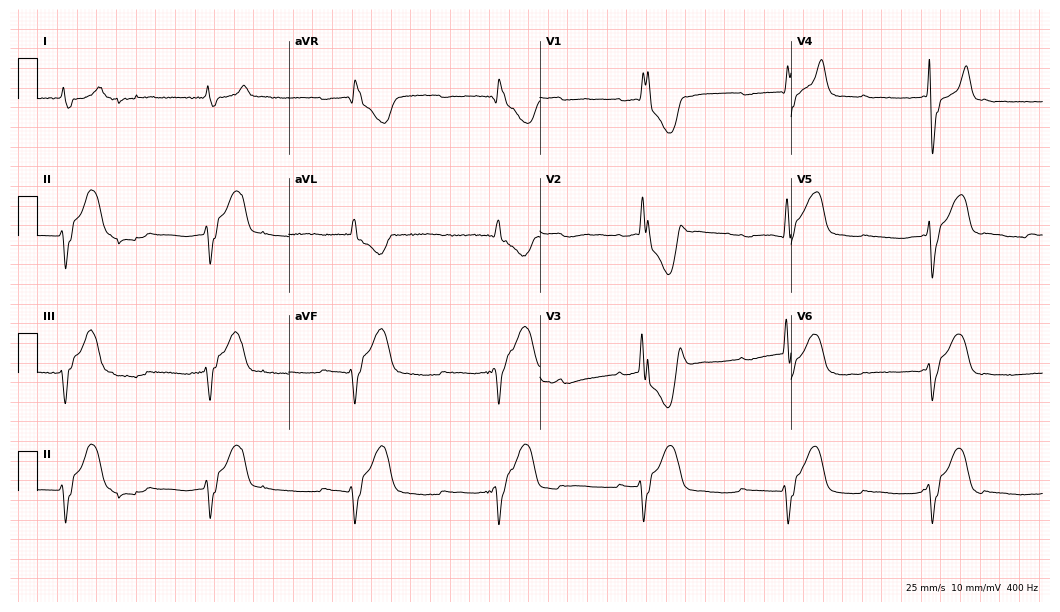
Electrocardiogram, a male, 60 years old. Of the six screened findings (first-degree AV block, right bundle branch block, left bundle branch block, sinus bradycardia, atrial fibrillation, sinus tachycardia), none is recorded. Other findings, if any, are not listed.